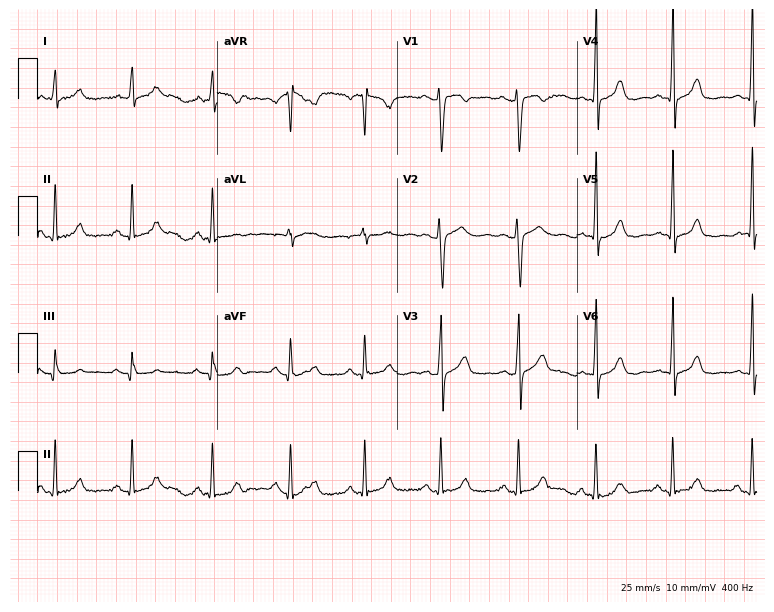
ECG (7.3-second recording at 400 Hz) — a female patient, 33 years old. Screened for six findings — first-degree AV block, right bundle branch block, left bundle branch block, sinus bradycardia, atrial fibrillation, sinus tachycardia — none is recorded.